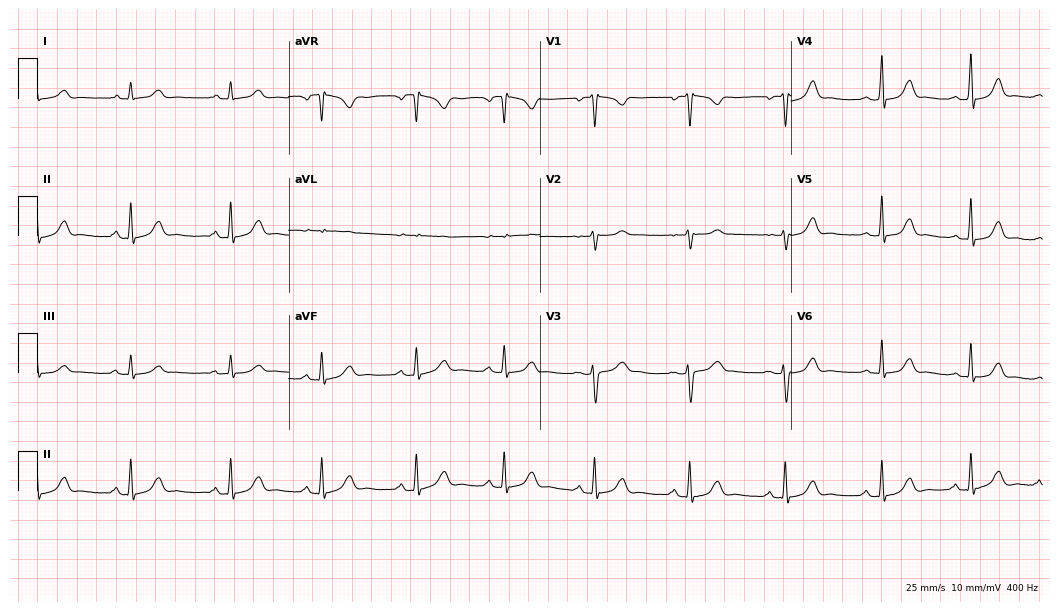
Resting 12-lead electrocardiogram. Patient: a female, 35 years old. None of these six findings is recorded: first-degree AV block, right bundle branch block, left bundle branch block, sinus bradycardia, atrial fibrillation, sinus tachycardia.